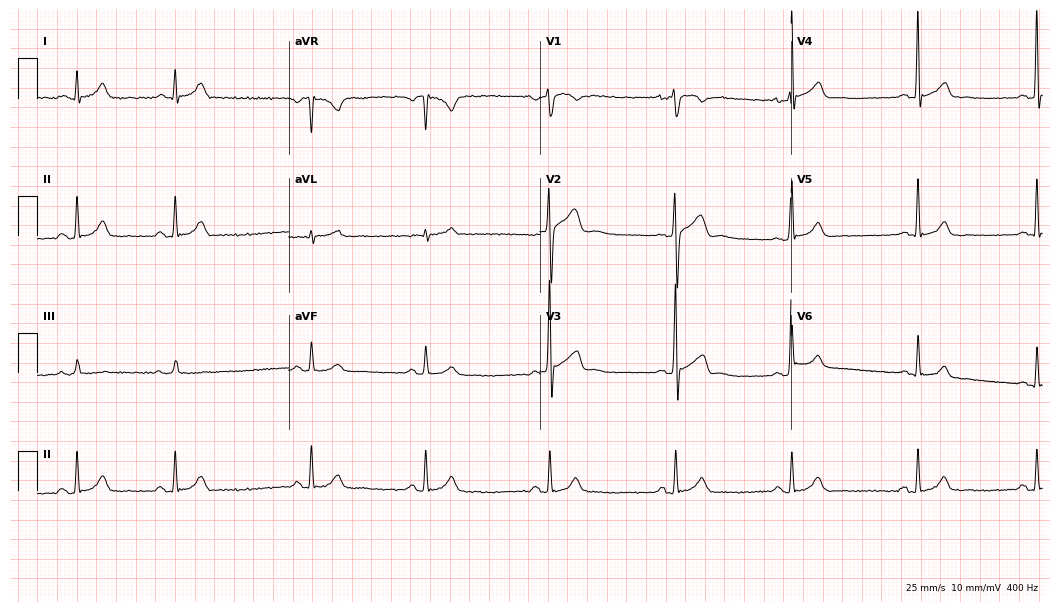
12-lead ECG from a 33-year-old male (10.2-second recording at 400 Hz). Recorded interpretation: within normal limits.